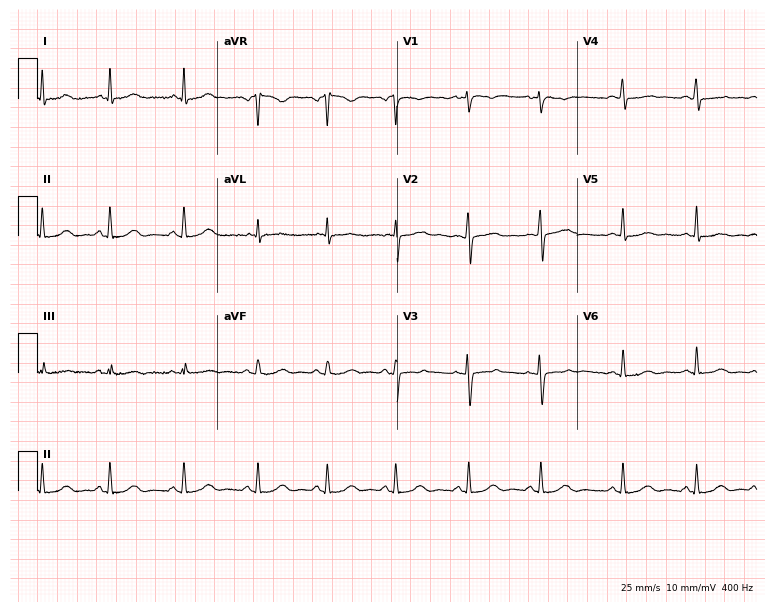
Resting 12-lead electrocardiogram (7.3-second recording at 400 Hz). Patient: a 43-year-old female. None of these six findings is recorded: first-degree AV block, right bundle branch block, left bundle branch block, sinus bradycardia, atrial fibrillation, sinus tachycardia.